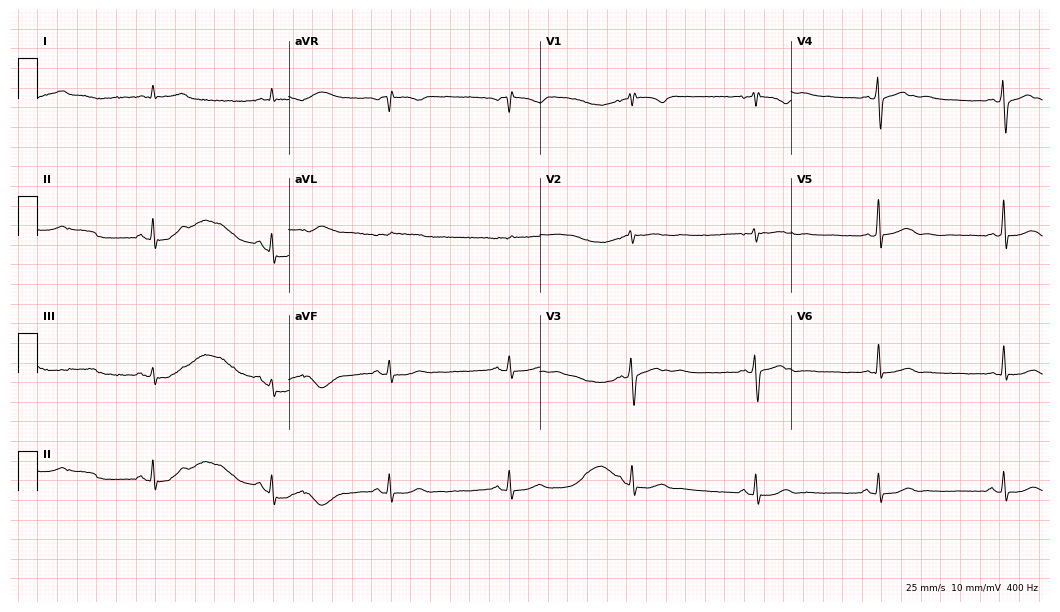
12-lead ECG from a male patient, 63 years old (10.2-second recording at 400 Hz). Shows sinus bradycardia (a sinus rate of 50 beats per minute or less).